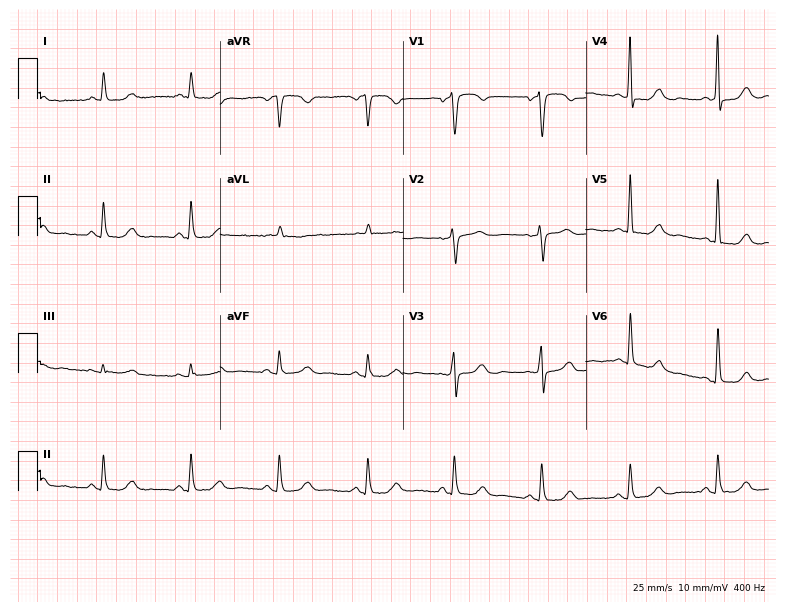
Resting 12-lead electrocardiogram. Patient: a 61-year-old female. Read as a normal ECG.